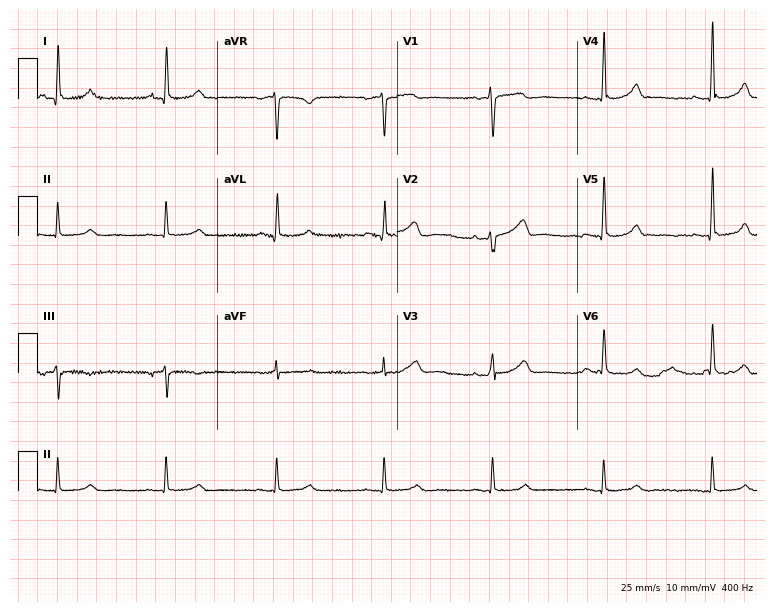
Electrocardiogram (7.3-second recording at 400 Hz), a female, 53 years old. Of the six screened findings (first-degree AV block, right bundle branch block, left bundle branch block, sinus bradycardia, atrial fibrillation, sinus tachycardia), none is recorded. Findings outside these six are not listed.